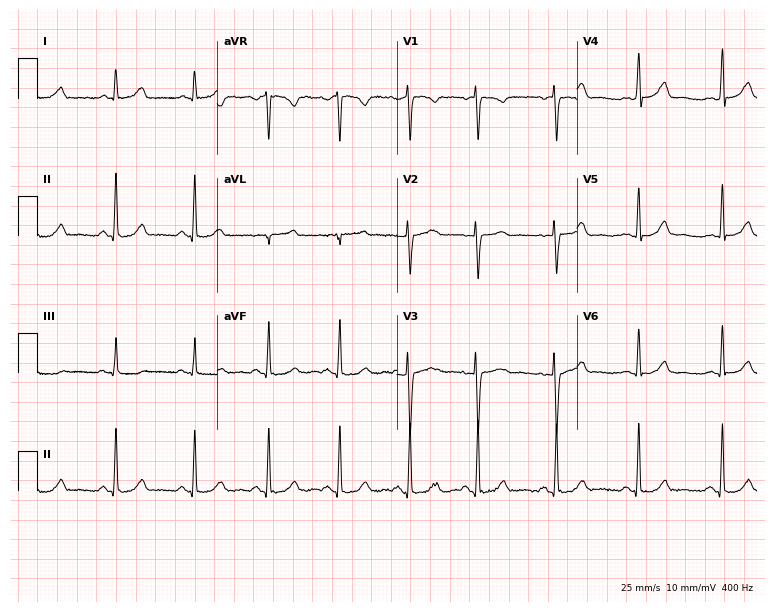
12-lead ECG (7.3-second recording at 400 Hz) from a 29-year-old female. Labelled as a normal ECG.